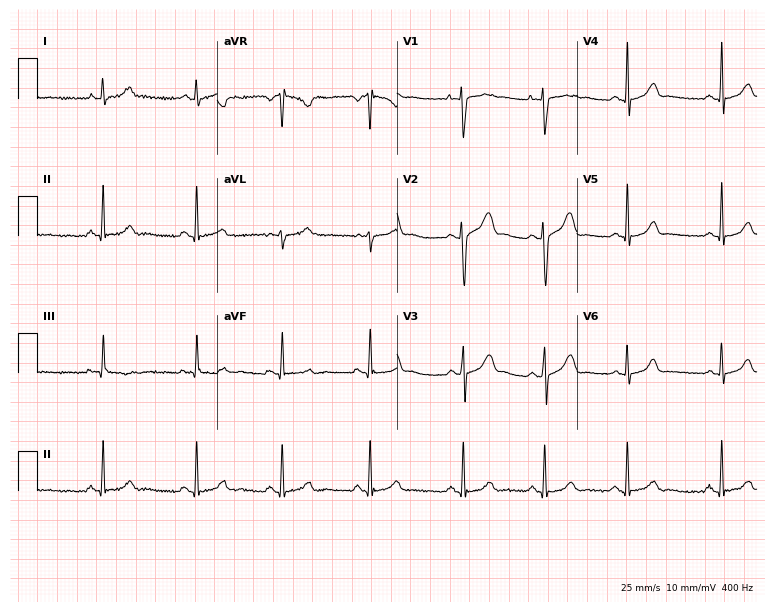
ECG — a female, 21 years old. Labelled as a normal ECG.